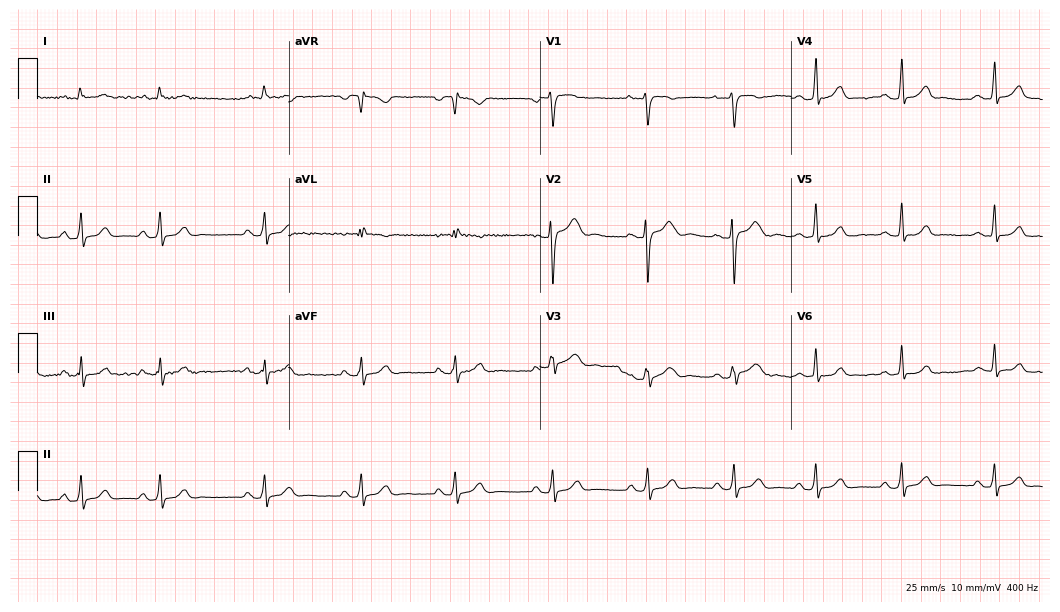
Electrocardiogram (10.2-second recording at 400 Hz), a 26-year-old female. Overall reading on record: normal ECG.